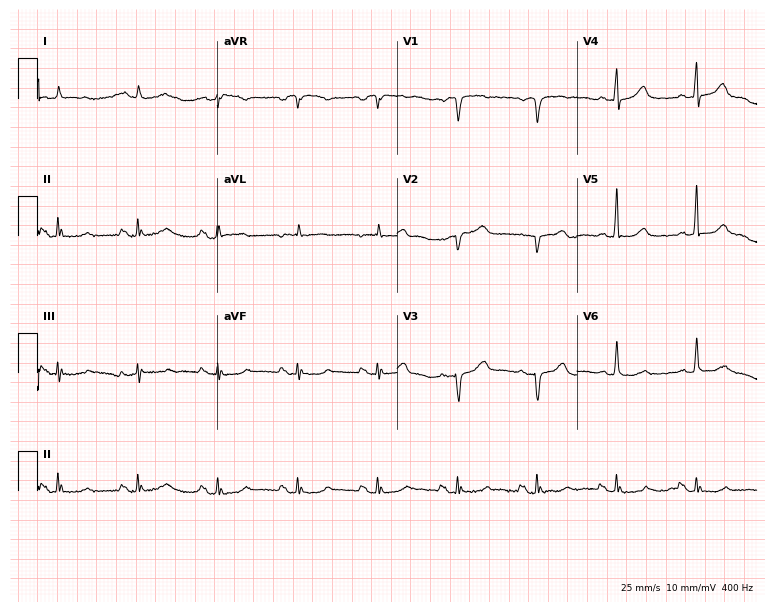
Electrocardiogram (7.3-second recording at 400 Hz), a man, 78 years old. Of the six screened findings (first-degree AV block, right bundle branch block, left bundle branch block, sinus bradycardia, atrial fibrillation, sinus tachycardia), none is recorded. Other findings, if any, are not listed.